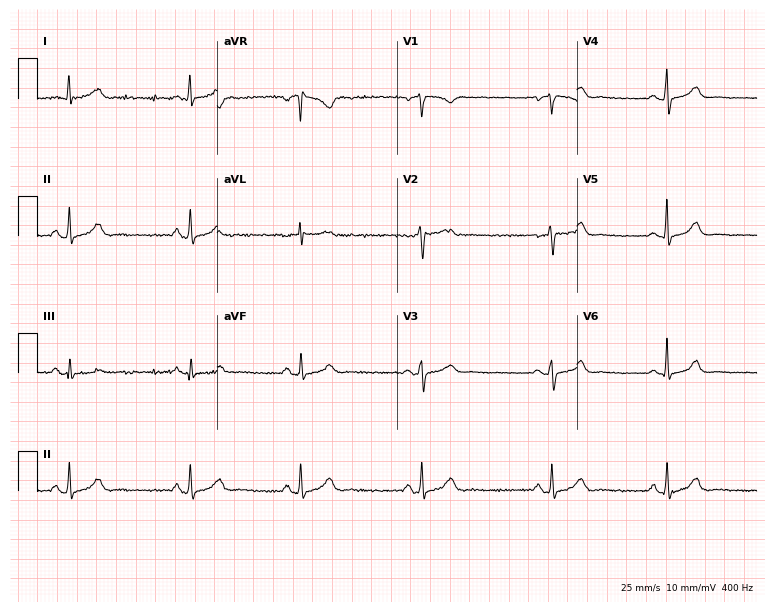
12-lead ECG from a female, 39 years old. Findings include sinus bradycardia (a sinus rate of 50 beats per minute or less).